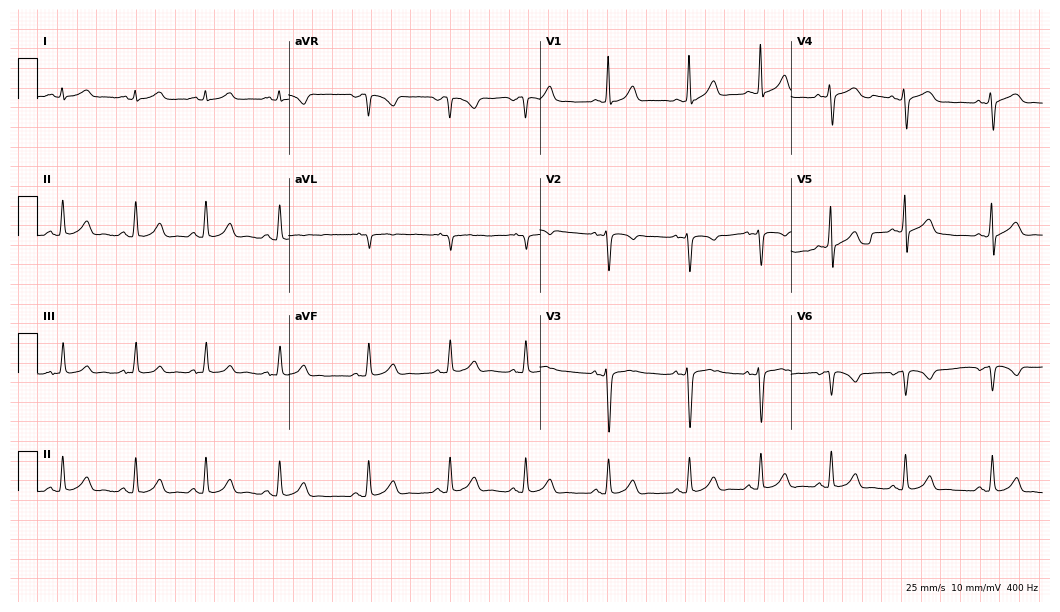
Standard 12-lead ECG recorded from an 18-year-old woman (10.2-second recording at 400 Hz). None of these six findings is recorded: first-degree AV block, right bundle branch block, left bundle branch block, sinus bradycardia, atrial fibrillation, sinus tachycardia.